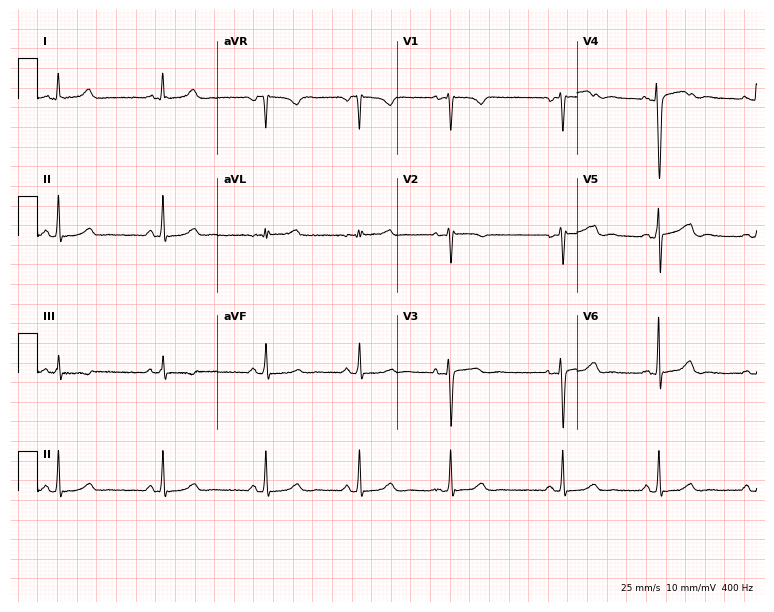
ECG — a 47-year-old female. Screened for six findings — first-degree AV block, right bundle branch block, left bundle branch block, sinus bradycardia, atrial fibrillation, sinus tachycardia — none is recorded.